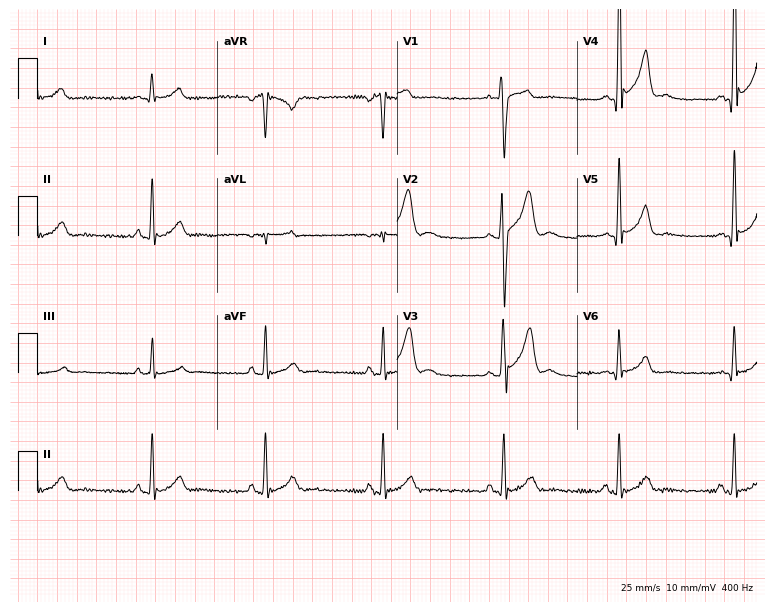
12-lead ECG from a 24-year-old man. Recorded interpretation: within normal limits.